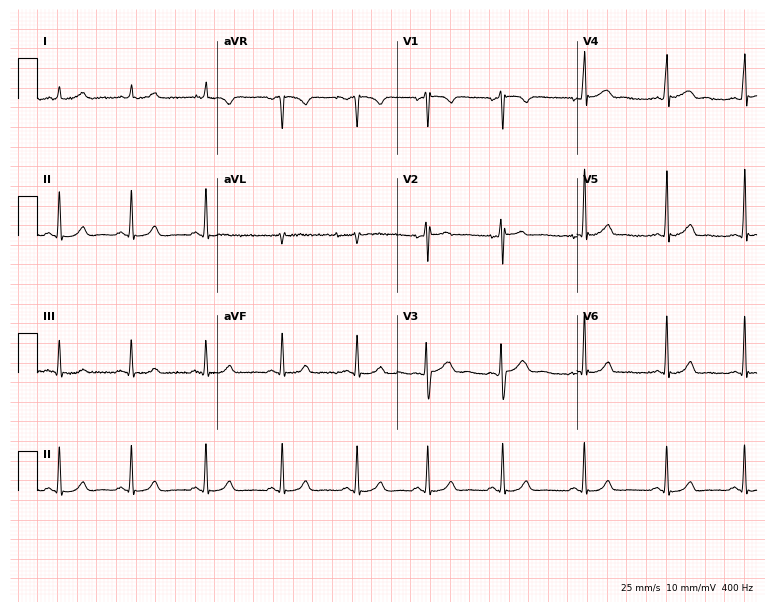
ECG — a 19-year-old female patient. Labelled as a normal ECG.